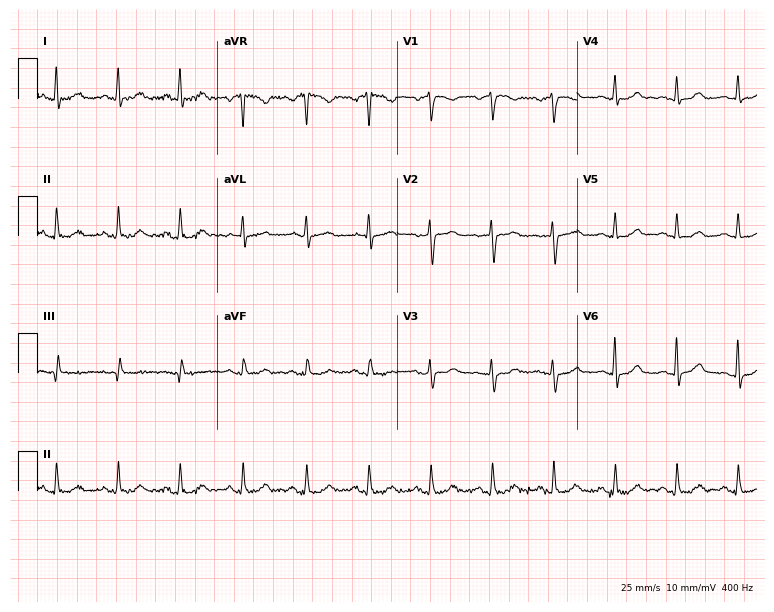
Electrocardiogram, a female, 52 years old. Overall reading on record: normal ECG.